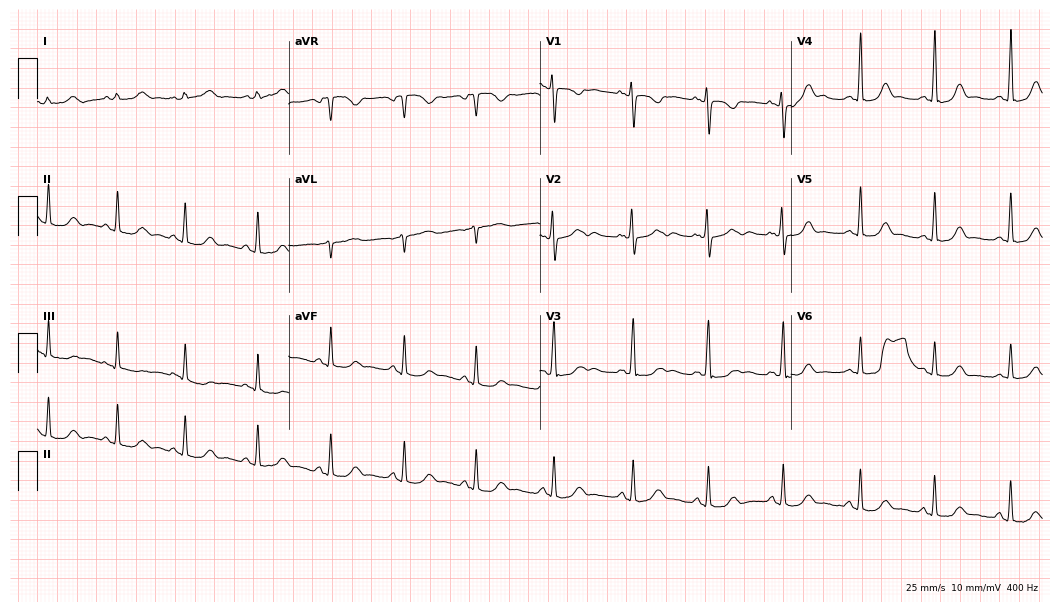
Resting 12-lead electrocardiogram (10.2-second recording at 400 Hz). Patient: a 31-year-old female. Read as a normal ECG.